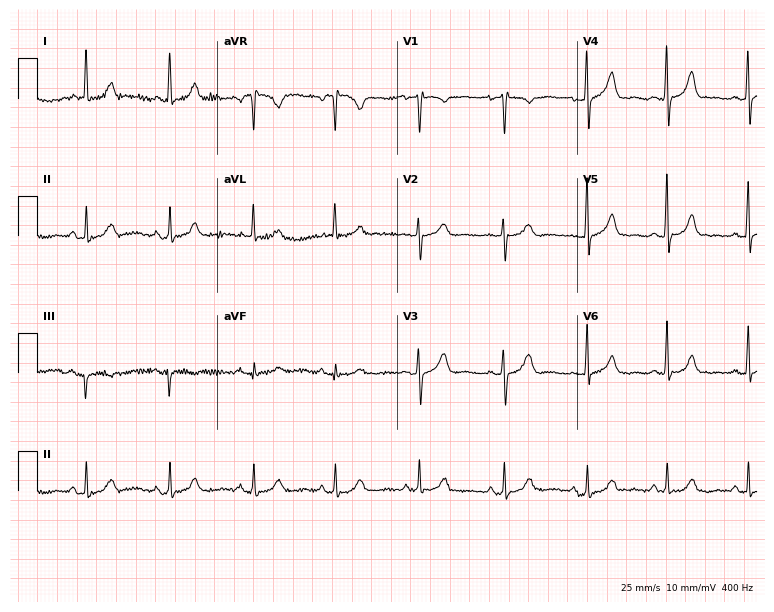
12-lead ECG from a 42-year-old female (7.3-second recording at 400 Hz). No first-degree AV block, right bundle branch block (RBBB), left bundle branch block (LBBB), sinus bradycardia, atrial fibrillation (AF) or sinus tachycardia recorded for this tracing. Findings outside these six are not listed.